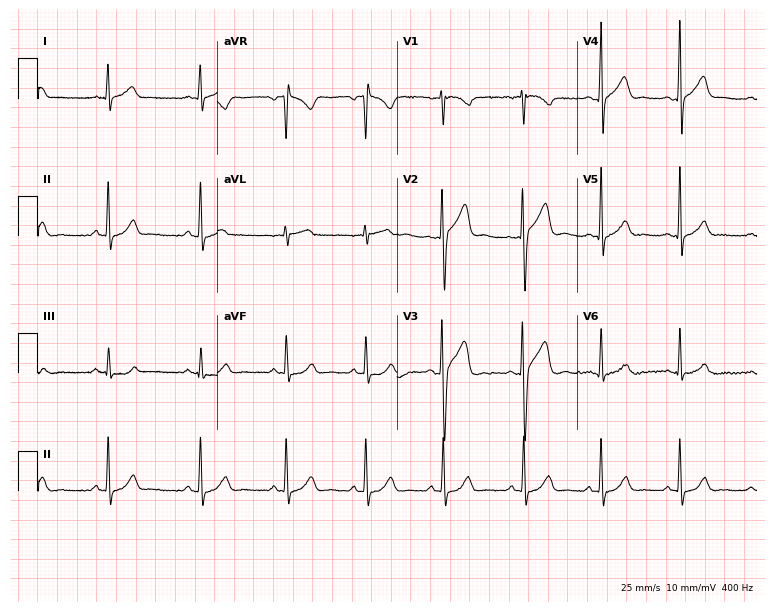
ECG (7.3-second recording at 400 Hz) — a 23-year-old male patient. Labelled as a normal ECG.